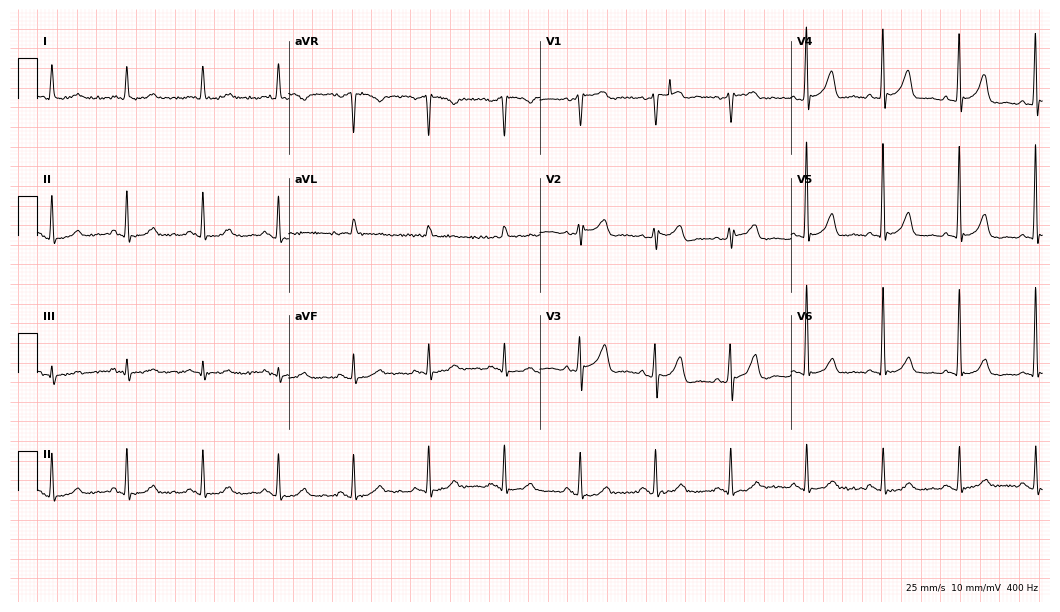
12-lead ECG from a 79-year-old female patient. Labelled as a normal ECG.